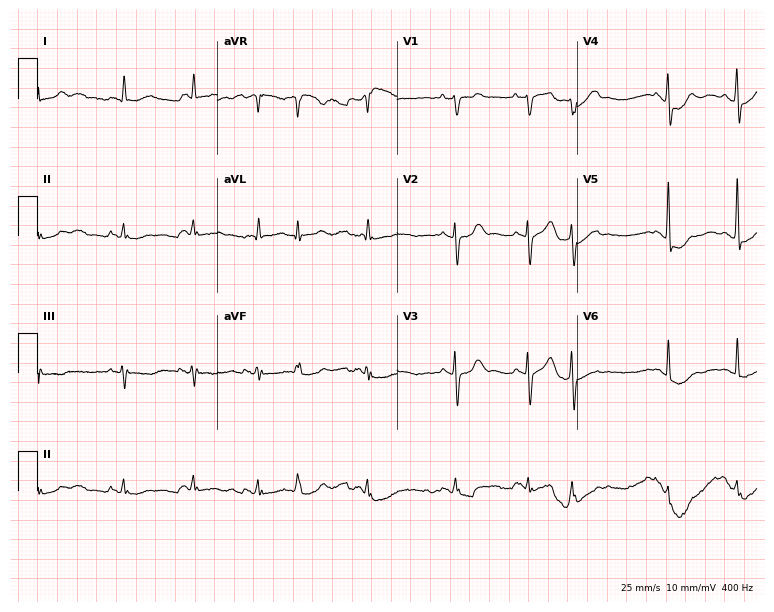
12-lead ECG from an 80-year-old female. No first-degree AV block, right bundle branch block, left bundle branch block, sinus bradycardia, atrial fibrillation or sinus tachycardia recorded for this tracing.